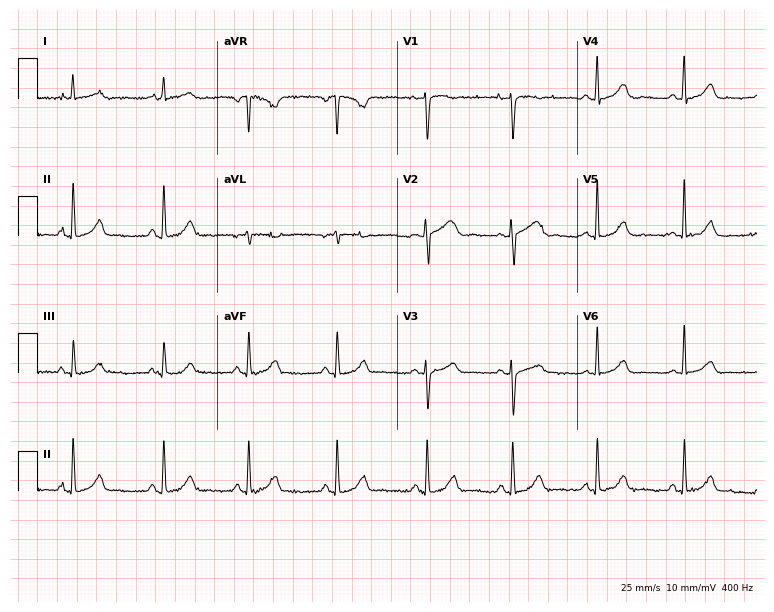
Electrocardiogram (7.3-second recording at 400 Hz), a 48-year-old female. Overall reading on record: normal ECG.